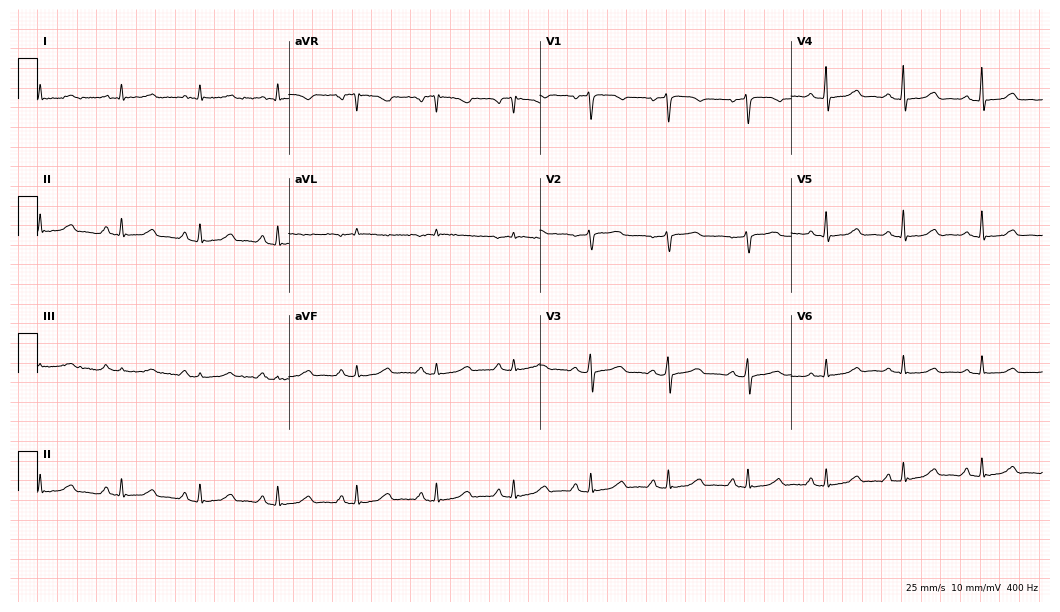
Resting 12-lead electrocardiogram (10.2-second recording at 400 Hz). Patient: a 48-year-old woman. None of these six findings is recorded: first-degree AV block, right bundle branch block, left bundle branch block, sinus bradycardia, atrial fibrillation, sinus tachycardia. Only these six findings were labelled.